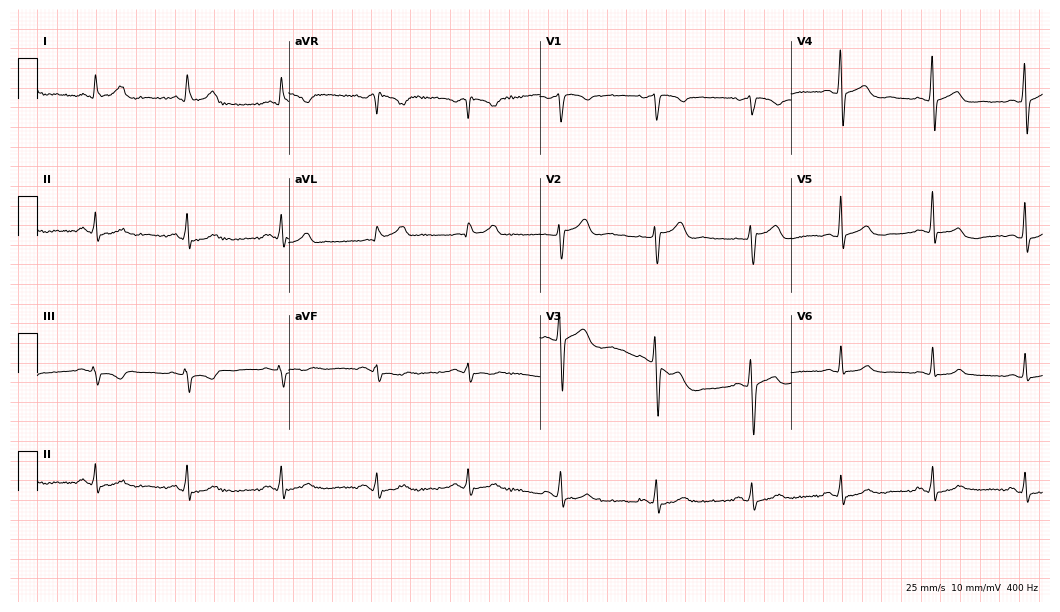
12-lead ECG (10.2-second recording at 400 Hz) from a man, 41 years old. Screened for six findings — first-degree AV block, right bundle branch block, left bundle branch block, sinus bradycardia, atrial fibrillation, sinus tachycardia — none is recorded. Other findings, if any, are not listed.